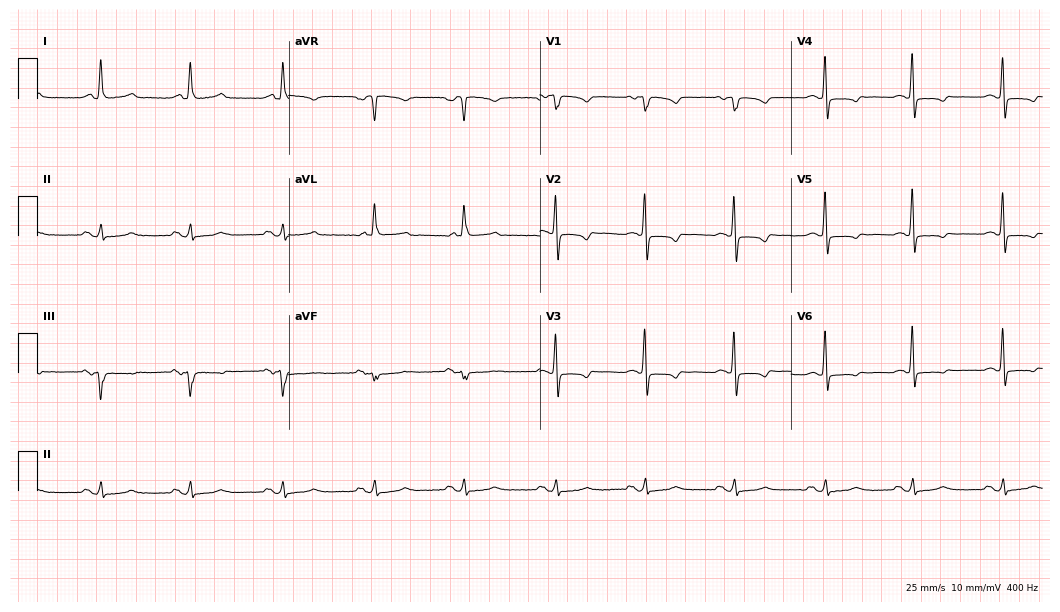
Standard 12-lead ECG recorded from a 69-year-old female patient. None of these six findings is recorded: first-degree AV block, right bundle branch block, left bundle branch block, sinus bradycardia, atrial fibrillation, sinus tachycardia. Other findings, if any, are not listed.